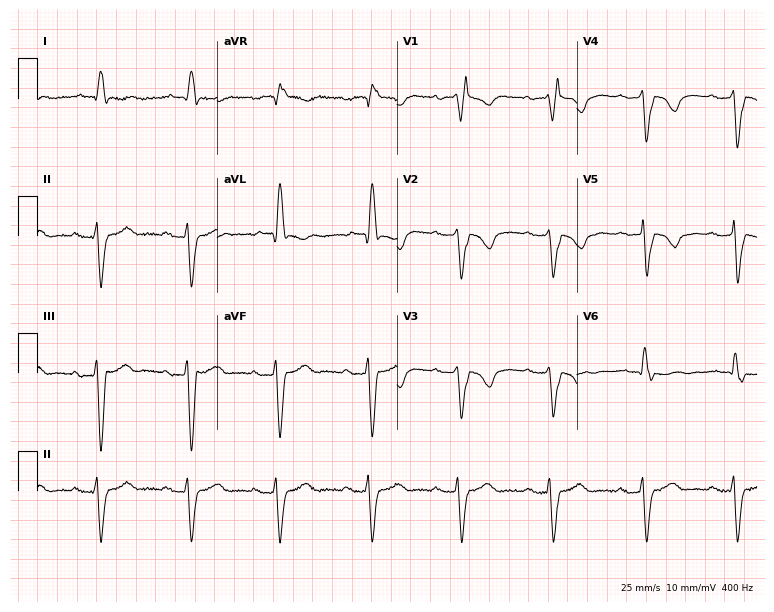
ECG — a male patient, 83 years old. Findings include first-degree AV block, right bundle branch block (RBBB).